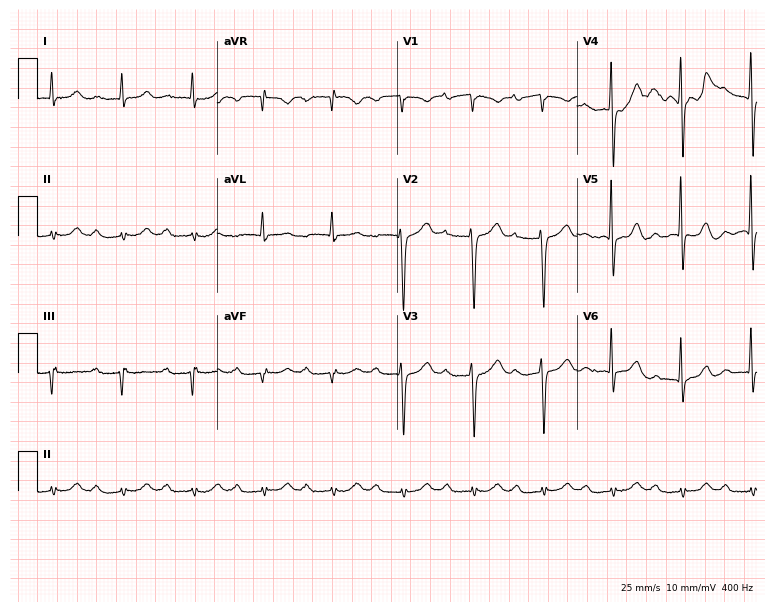
12-lead ECG (7.3-second recording at 400 Hz) from an 88-year-old male. Labelled as a normal ECG.